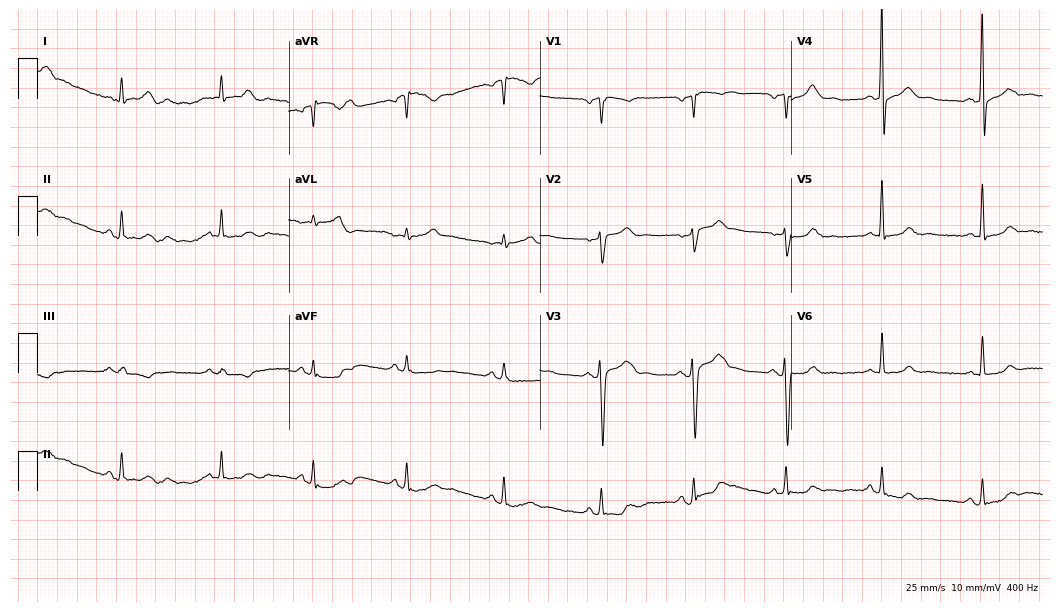
ECG (10.2-second recording at 400 Hz) — a female, 45 years old. Screened for six findings — first-degree AV block, right bundle branch block, left bundle branch block, sinus bradycardia, atrial fibrillation, sinus tachycardia — none is recorded. Other findings, if any, are not listed.